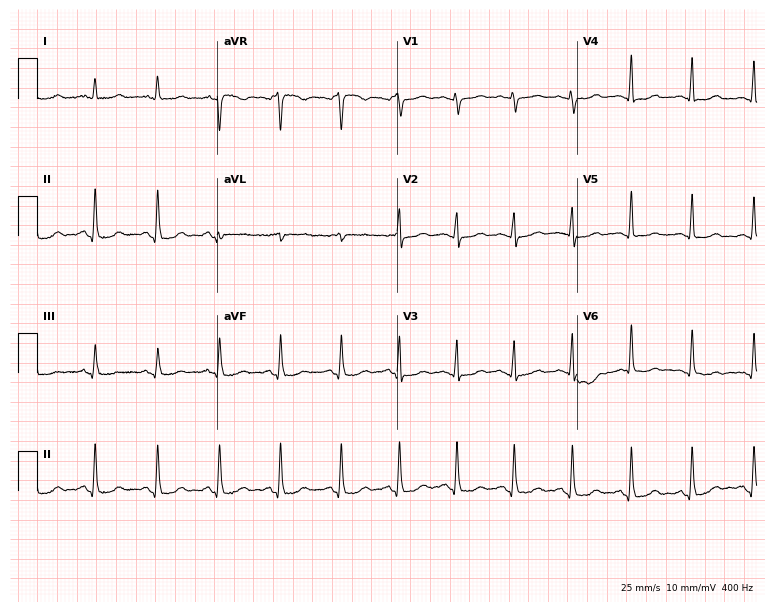
Standard 12-lead ECG recorded from a 44-year-old female. None of these six findings is recorded: first-degree AV block, right bundle branch block (RBBB), left bundle branch block (LBBB), sinus bradycardia, atrial fibrillation (AF), sinus tachycardia. Findings outside these six are not listed.